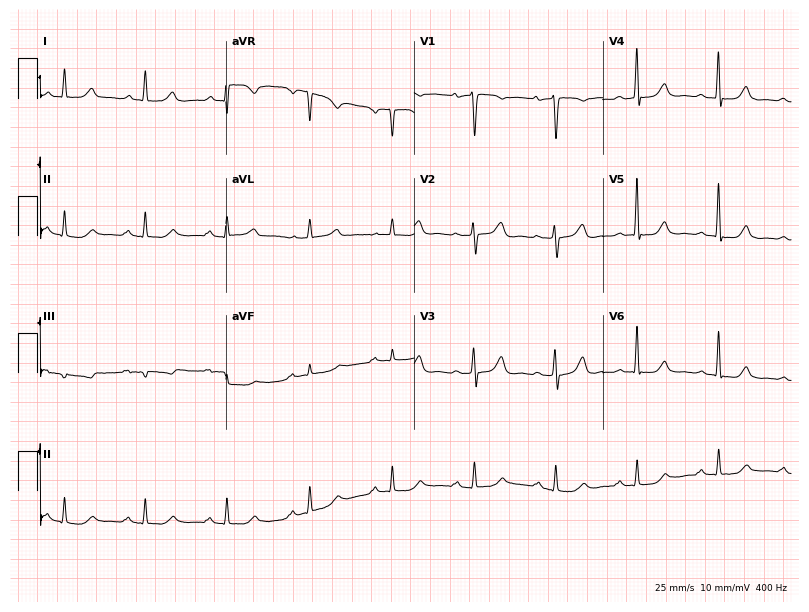
Standard 12-lead ECG recorded from a female, 67 years old. Read as a normal ECG.